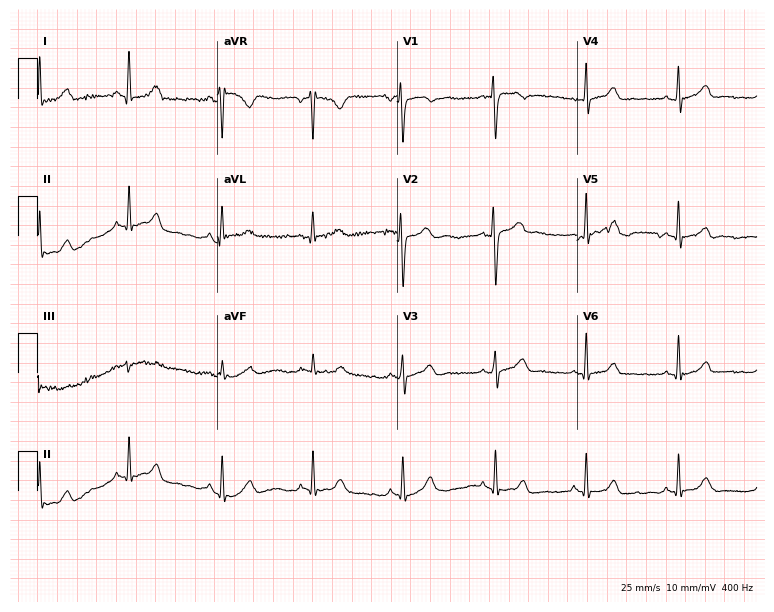
ECG (7.3-second recording at 400 Hz) — a 36-year-old female patient. Labelled as a normal ECG.